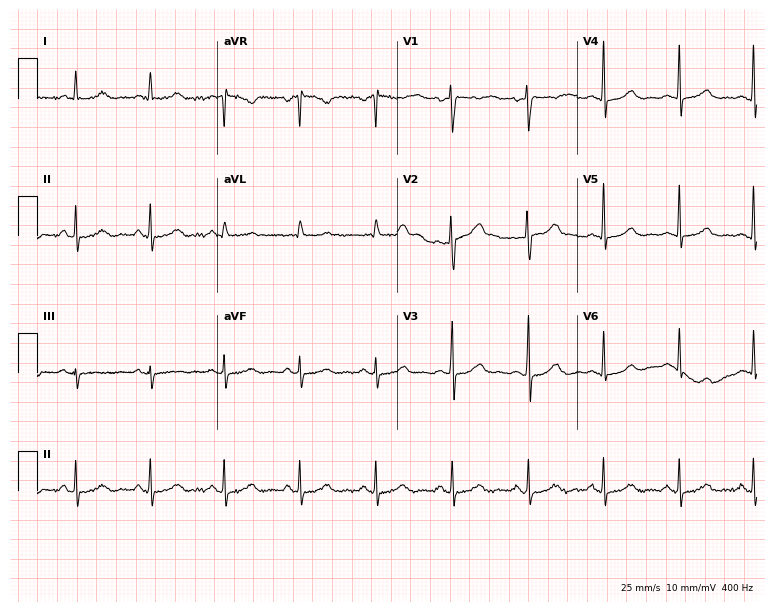
Standard 12-lead ECG recorded from a female, 35 years old. Read as a normal ECG.